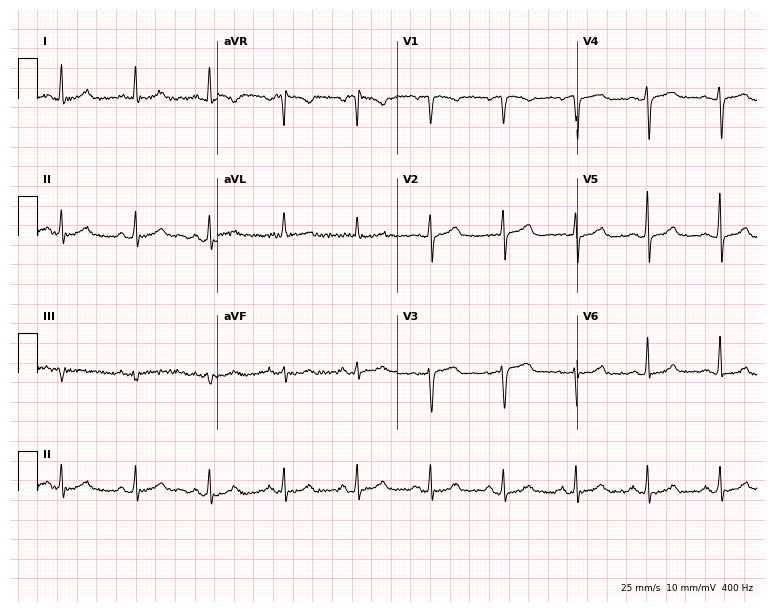
ECG (7.3-second recording at 400 Hz) — a 60-year-old female patient. Labelled as a normal ECG.